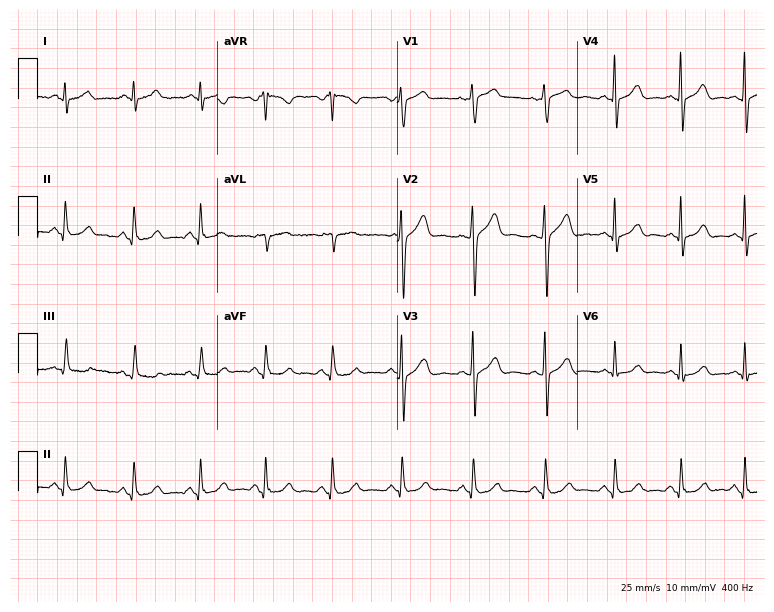
Standard 12-lead ECG recorded from a 37-year-old female patient (7.3-second recording at 400 Hz). Read as a normal ECG.